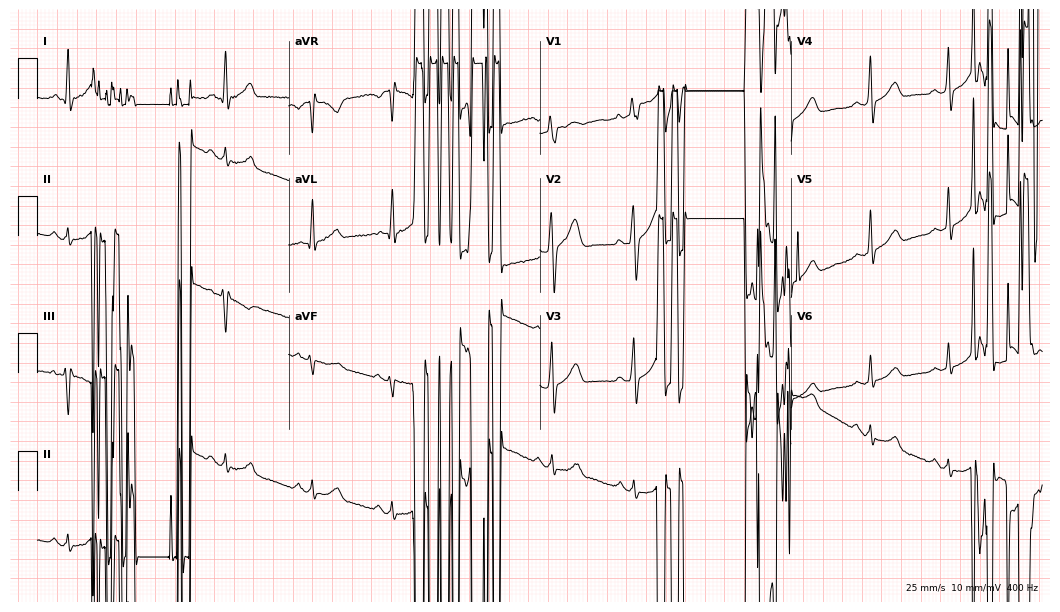
12-lead ECG from a 37-year-old male. No first-degree AV block, right bundle branch block, left bundle branch block, sinus bradycardia, atrial fibrillation or sinus tachycardia recorded for this tracing. Findings outside these six are not listed.